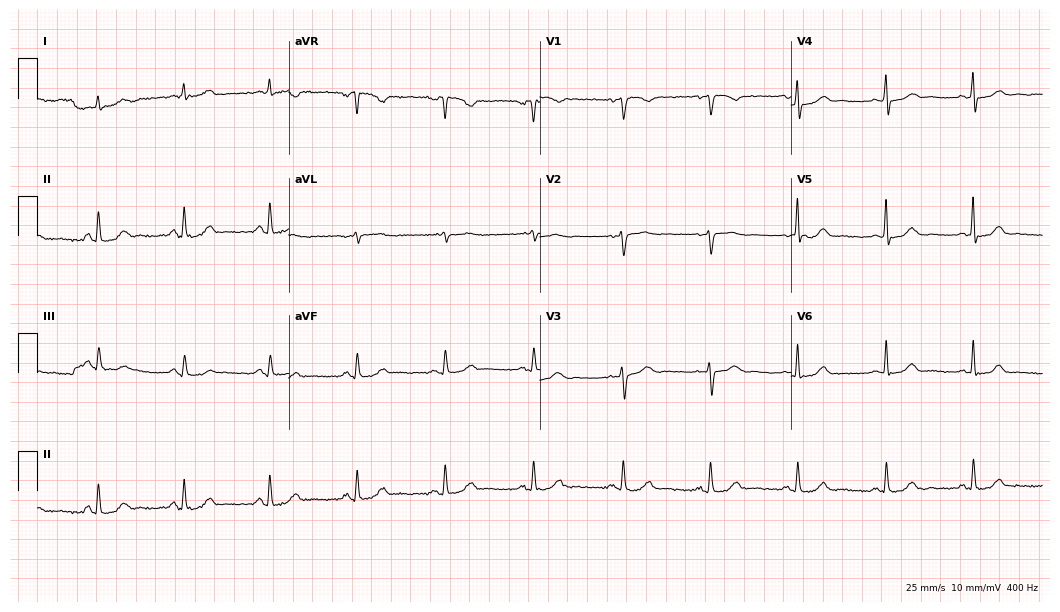
Electrocardiogram (10.2-second recording at 400 Hz), a 42-year-old female patient. Overall reading on record: normal ECG.